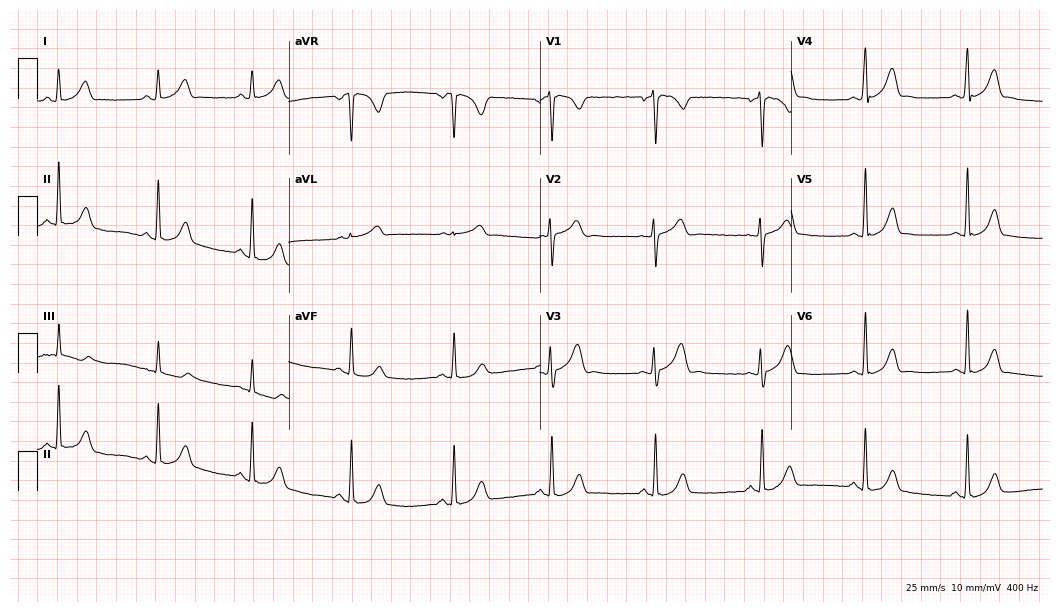
12-lead ECG from a female patient, 25 years old (10.2-second recording at 400 Hz). Recorded interpretation: within normal limits.